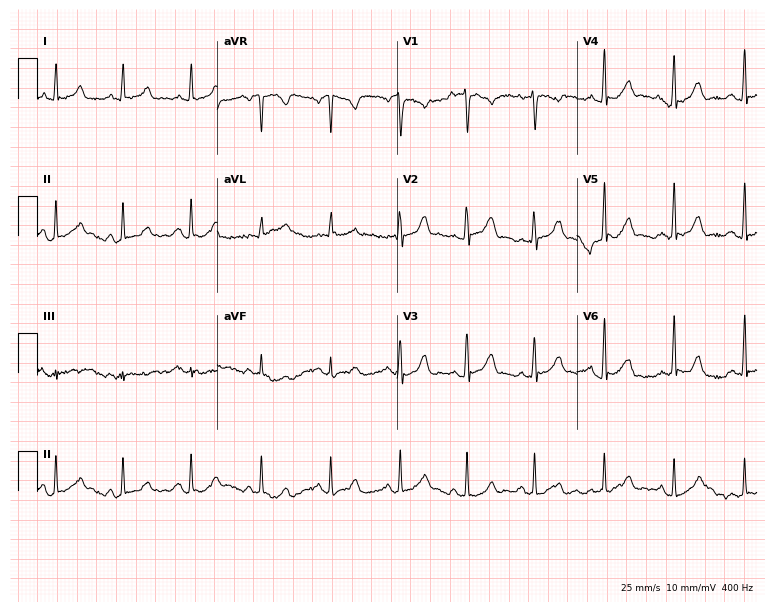
Resting 12-lead electrocardiogram. Patient: a woman, 32 years old. Read as a normal ECG.